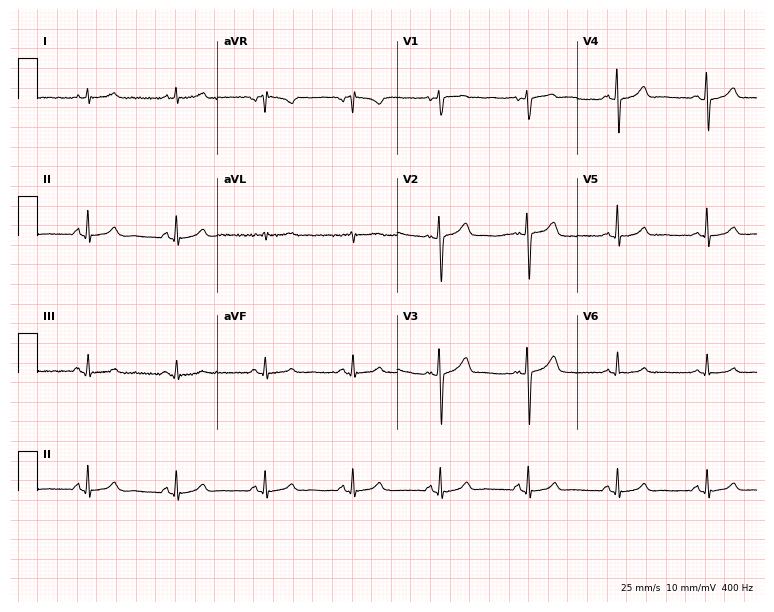
Resting 12-lead electrocardiogram (7.3-second recording at 400 Hz). Patient: a 67-year-old male. Read as a normal ECG.